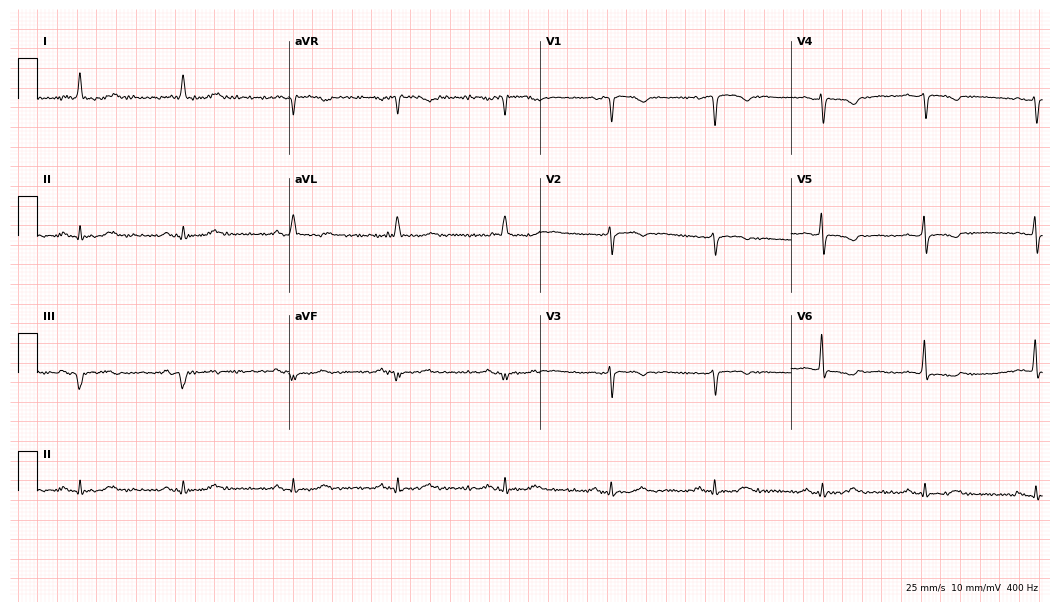
12-lead ECG from a woman, 82 years old. No first-degree AV block, right bundle branch block, left bundle branch block, sinus bradycardia, atrial fibrillation or sinus tachycardia recorded for this tracing. Findings outside these six are not listed.